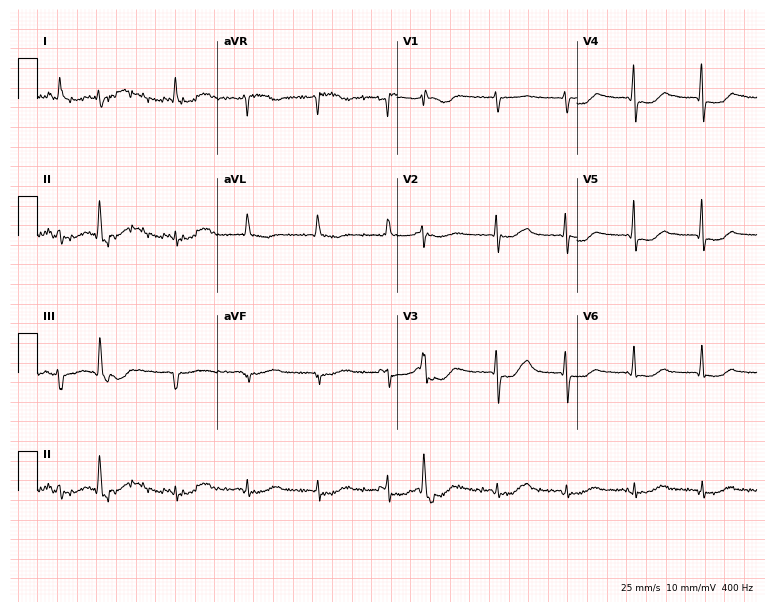
12-lead ECG (7.3-second recording at 400 Hz) from a 78-year-old female. Screened for six findings — first-degree AV block, right bundle branch block, left bundle branch block, sinus bradycardia, atrial fibrillation, sinus tachycardia — none is recorded.